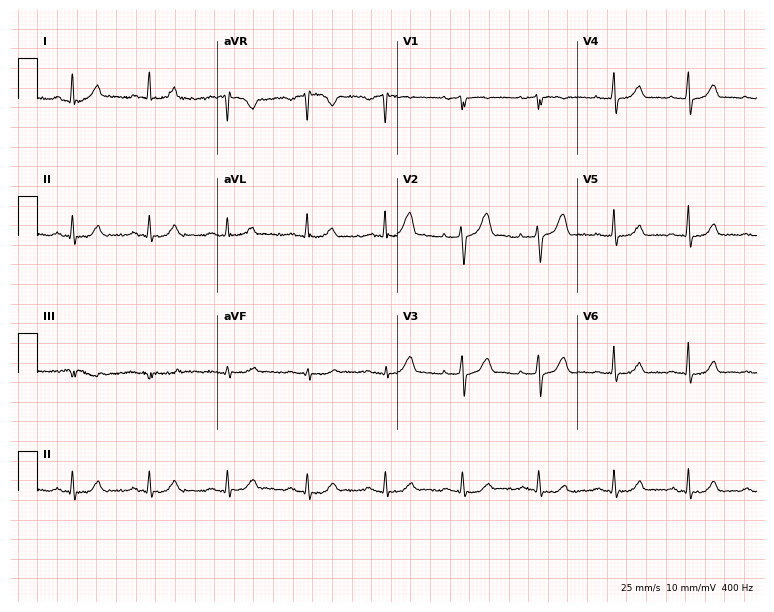
ECG — a woman, 71 years old. Labelled as a normal ECG.